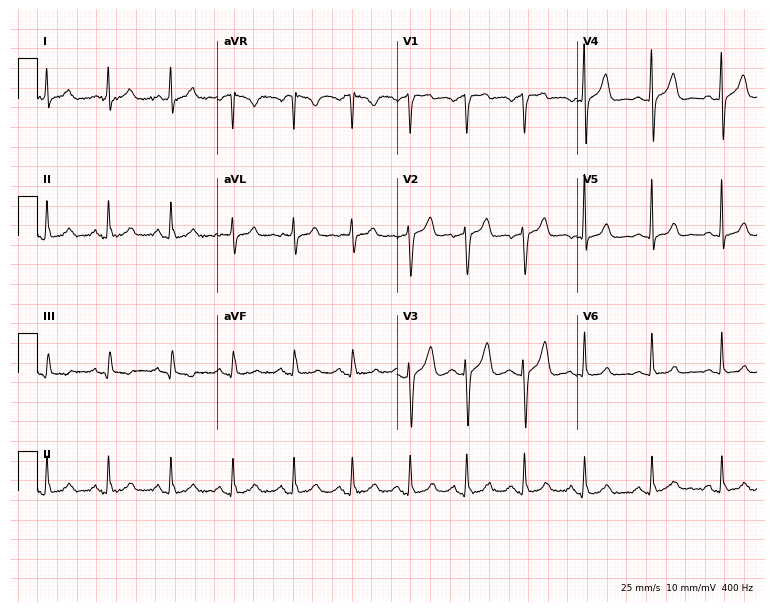
Standard 12-lead ECG recorded from a 50-year-old man (7.3-second recording at 400 Hz). Read as a normal ECG.